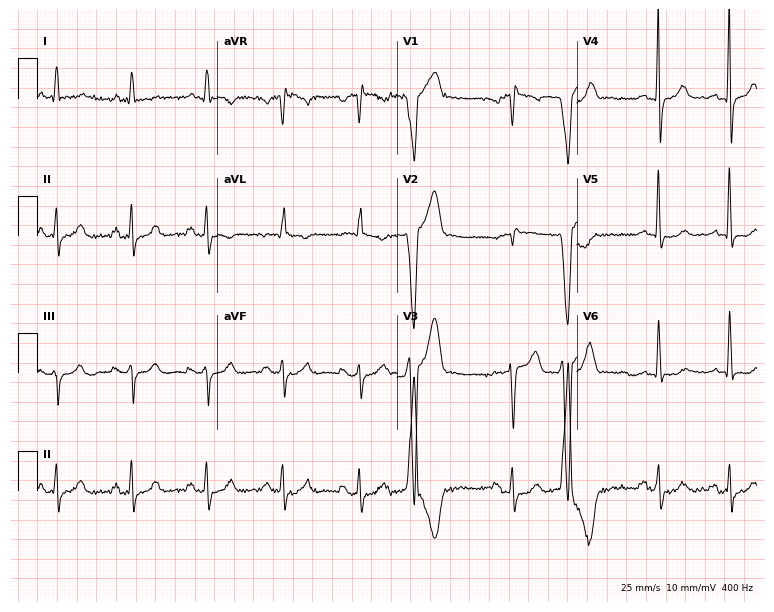
12-lead ECG from a man, 70 years old. No first-degree AV block, right bundle branch block (RBBB), left bundle branch block (LBBB), sinus bradycardia, atrial fibrillation (AF) or sinus tachycardia recorded for this tracing. Other findings, if any, are not listed.